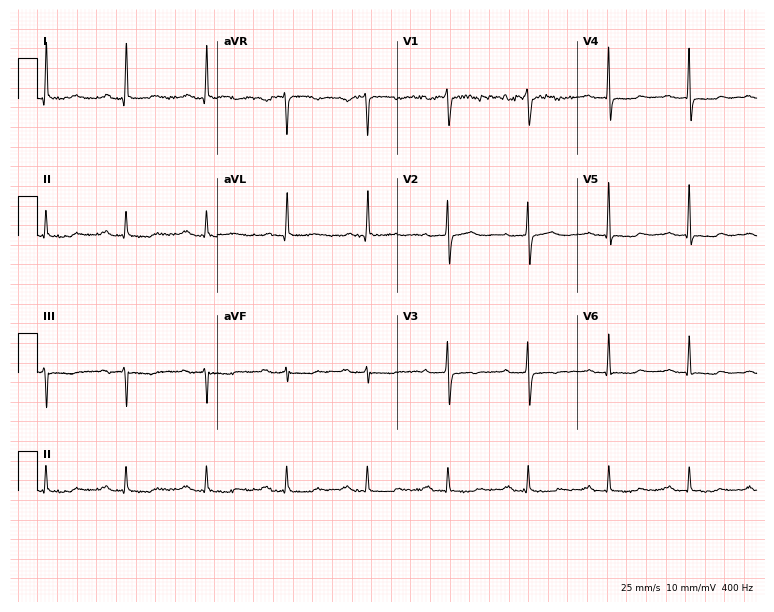
Electrocardiogram, a female, 70 years old. Of the six screened findings (first-degree AV block, right bundle branch block, left bundle branch block, sinus bradycardia, atrial fibrillation, sinus tachycardia), none is recorded. Findings outside these six are not listed.